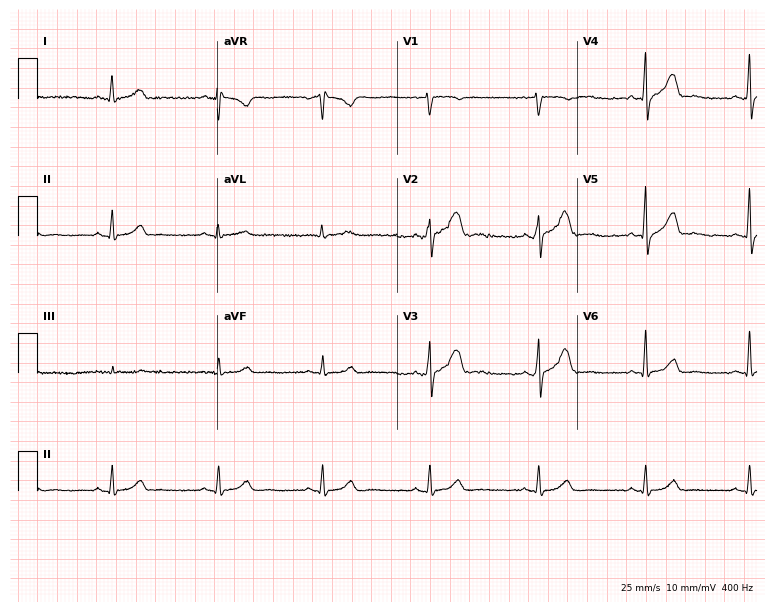
12-lead ECG (7.3-second recording at 400 Hz) from a male patient, 44 years old. Labelled as a normal ECG.